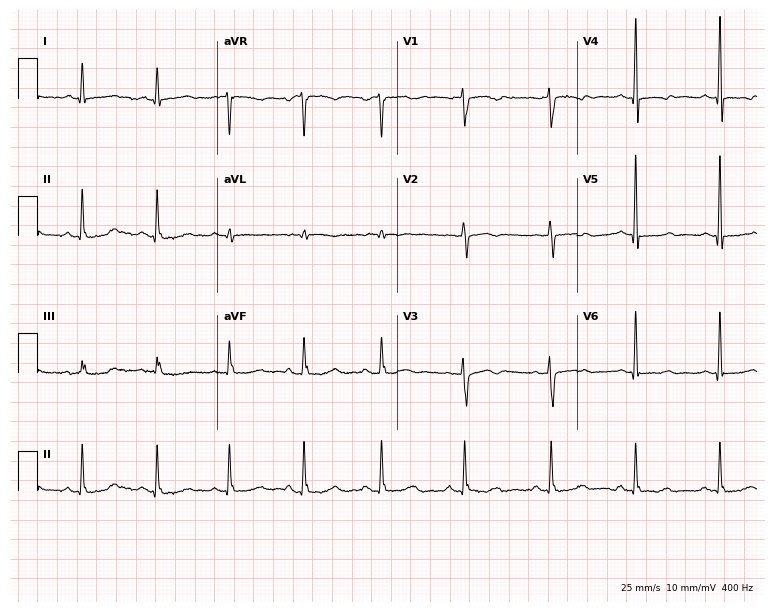
12-lead ECG from a woman, 49 years old (7.3-second recording at 400 Hz). No first-degree AV block, right bundle branch block, left bundle branch block, sinus bradycardia, atrial fibrillation or sinus tachycardia recorded for this tracing. Only these six findings were labelled.